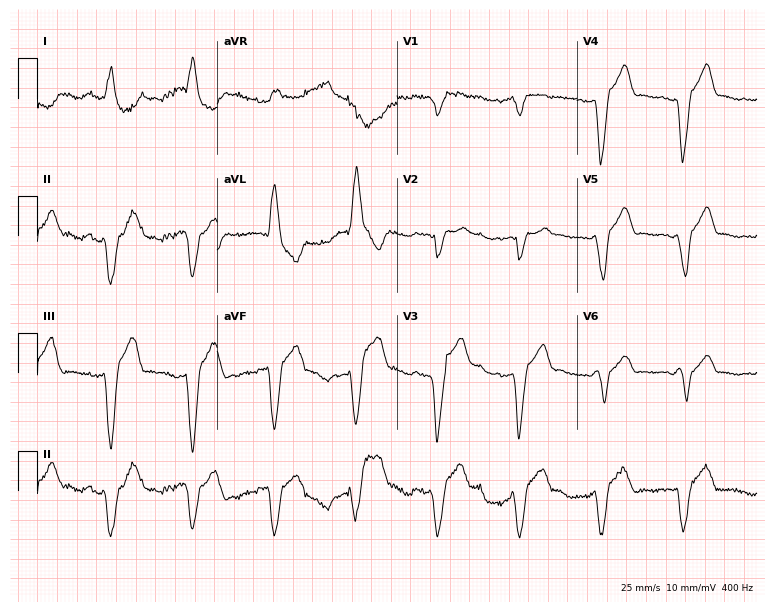
Resting 12-lead electrocardiogram (7.3-second recording at 400 Hz). Patient: an 85-year-old female. The tracing shows left bundle branch block (LBBB).